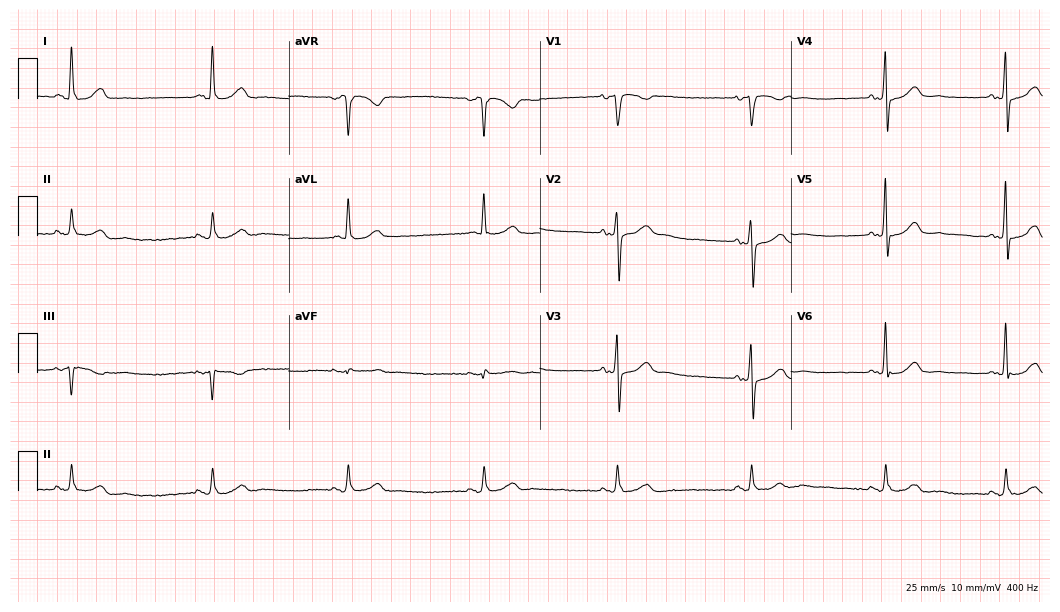
Resting 12-lead electrocardiogram (10.2-second recording at 400 Hz). Patient: a female, 54 years old. The tracing shows sinus bradycardia (a sinus rate of 50 beats per minute or less).